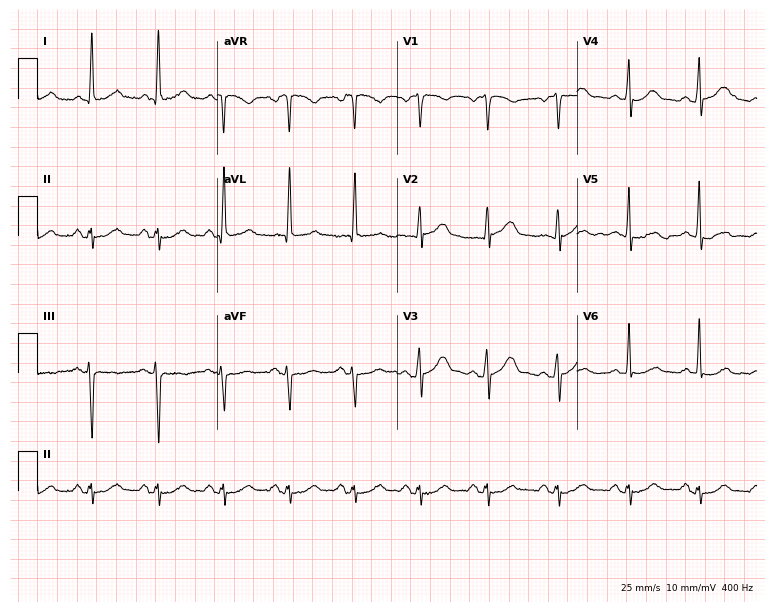
12-lead ECG from a man, 50 years old. Screened for six findings — first-degree AV block, right bundle branch block, left bundle branch block, sinus bradycardia, atrial fibrillation, sinus tachycardia — none is recorded.